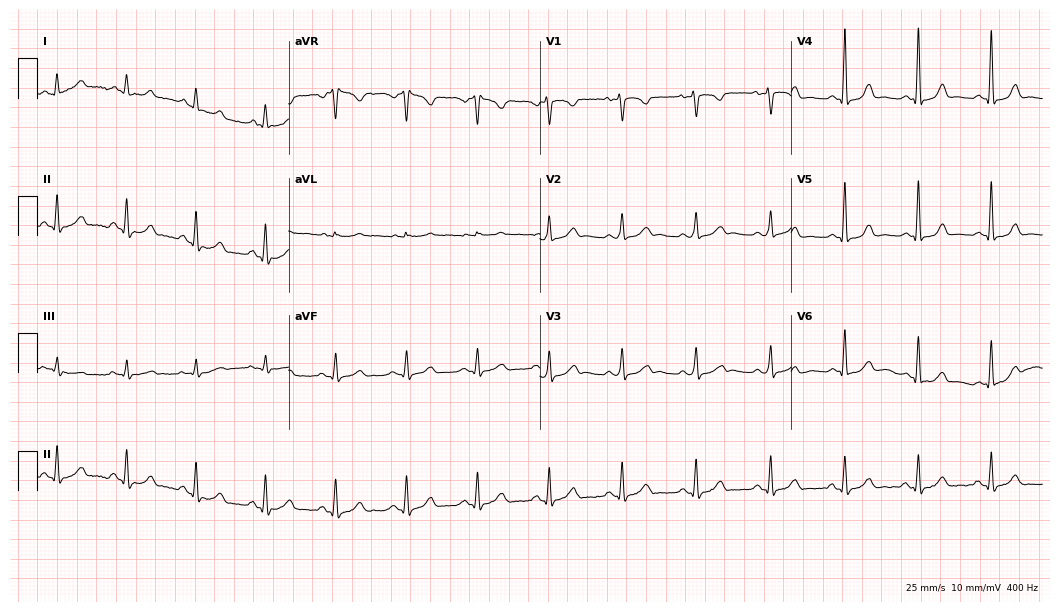
12-lead ECG from a female patient, 49 years old. Labelled as a normal ECG.